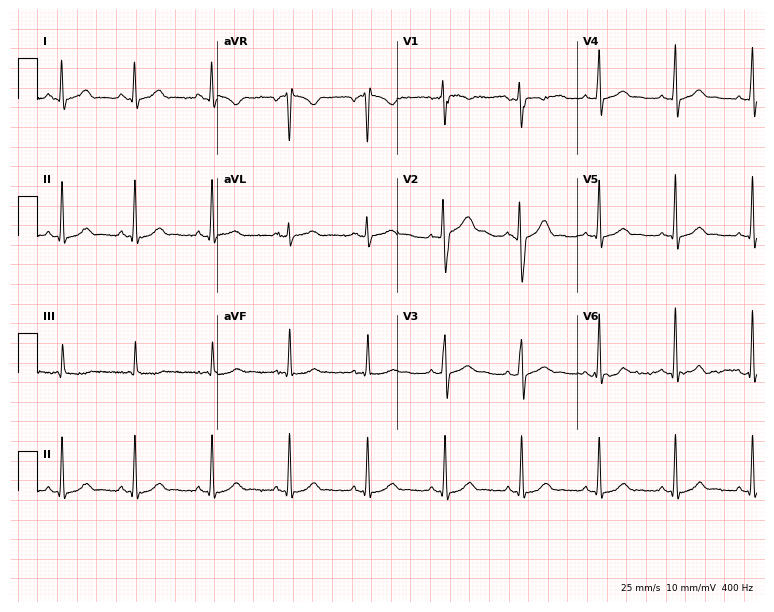
Electrocardiogram (7.3-second recording at 400 Hz), a woman, 23 years old. Of the six screened findings (first-degree AV block, right bundle branch block, left bundle branch block, sinus bradycardia, atrial fibrillation, sinus tachycardia), none is recorded.